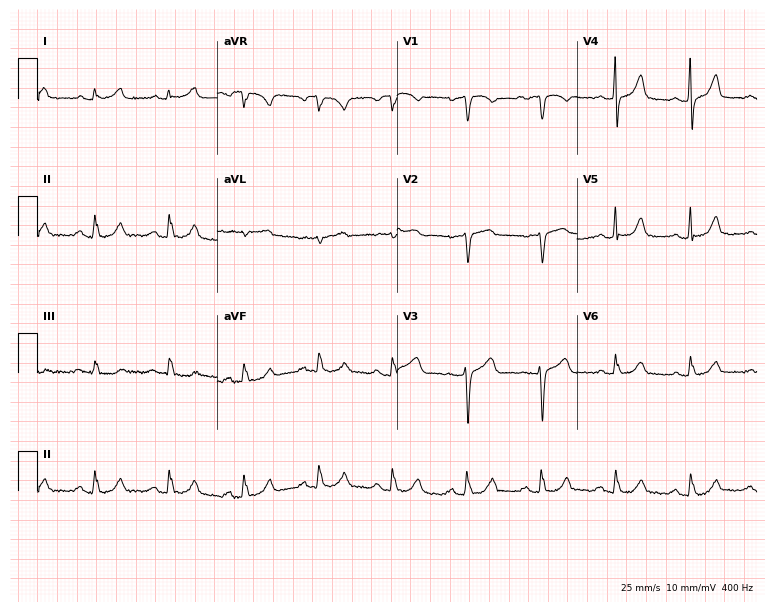
Electrocardiogram (7.3-second recording at 400 Hz), a woman, 52 years old. Of the six screened findings (first-degree AV block, right bundle branch block (RBBB), left bundle branch block (LBBB), sinus bradycardia, atrial fibrillation (AF), sinus tachycardia), none is recorded.